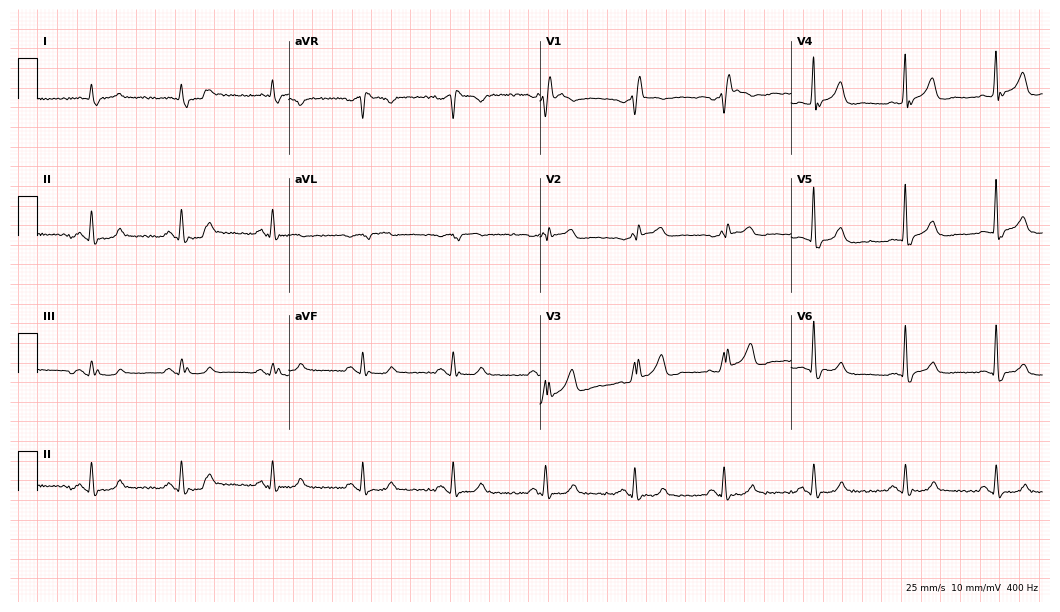
Resting 12-lead electrocardiogram (10.2-second recording at 400 Hz). Patient: an 81-year-old man. The tracing shows right bundle branch block.